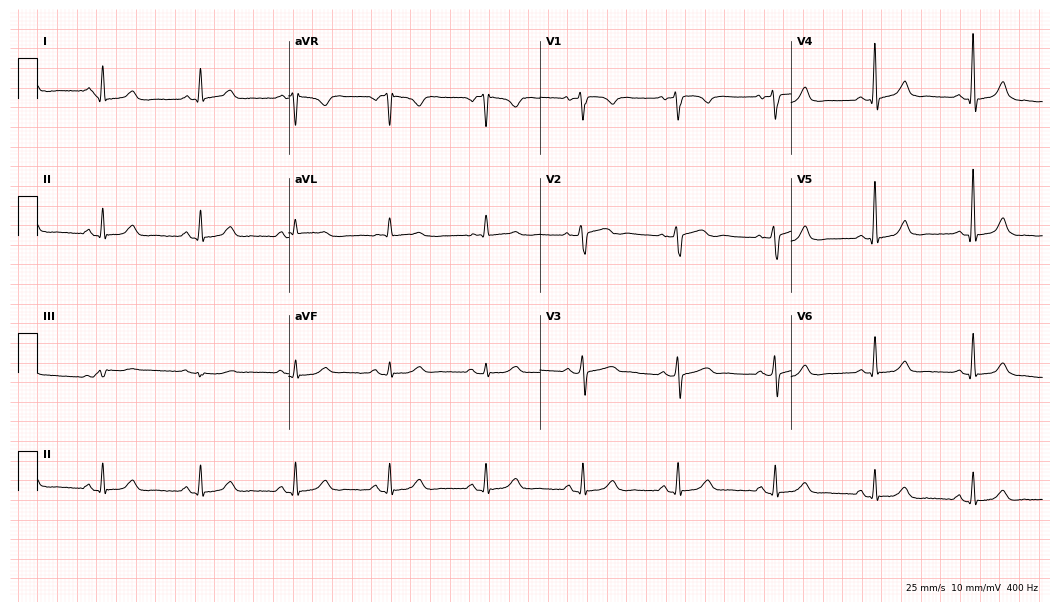
12-lead ECG from a female, 75 years old (10.2-second recording at 400 Hz). Recorded interpretation: within normal limits.